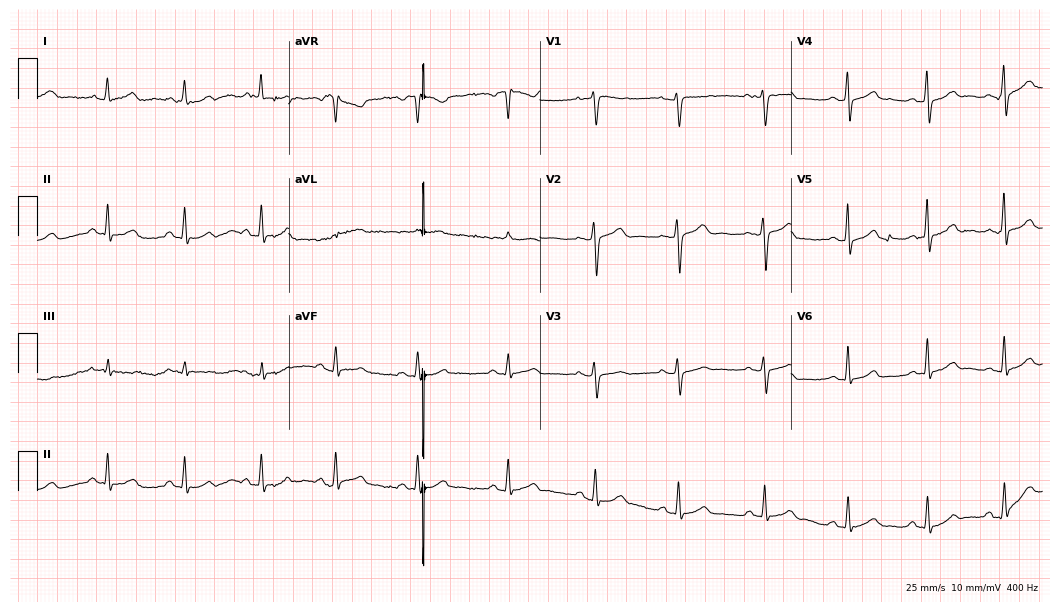
12-lead ECG from a woman, 34 years old. Labelled as a normal ECG.